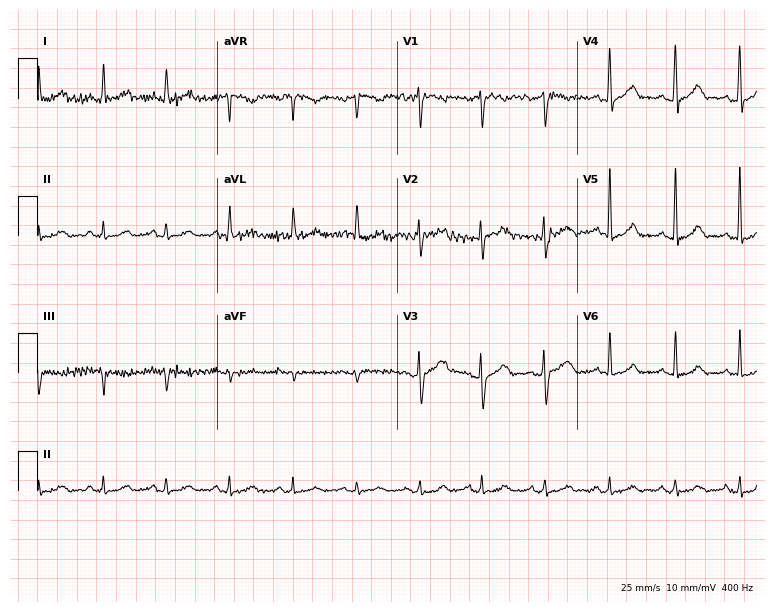
12-lead ECG (7.3-second recording at 400 Hz) from a male patient, 40 years old. Screened for six findings — first-degree AV block, right bundle branch block (RBBB), left bundle branch block (LBBB), sinus bradycardia, atrial fibrillation (AF), sinus tachycardia — none is recorded.